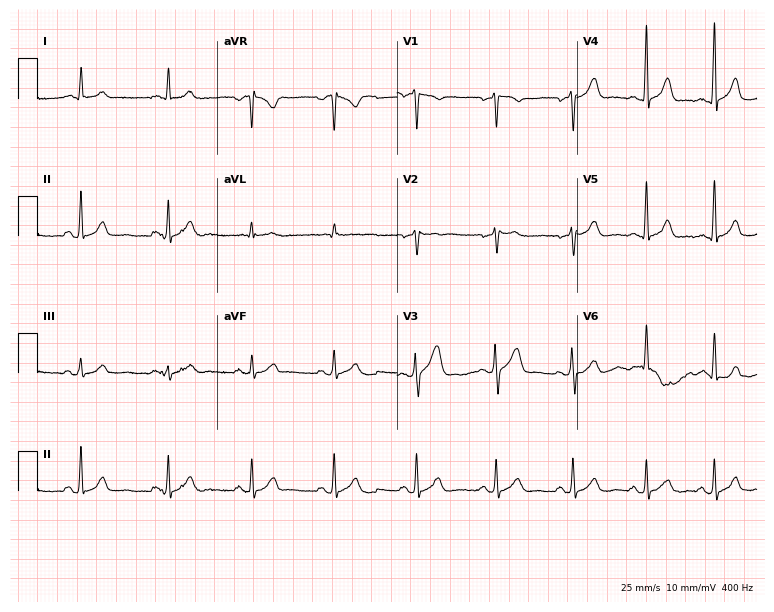
12-lead ECG from a man, 40 years old (7.3-second recording at 400 Hz). Recorded interpretation: within normal limits.